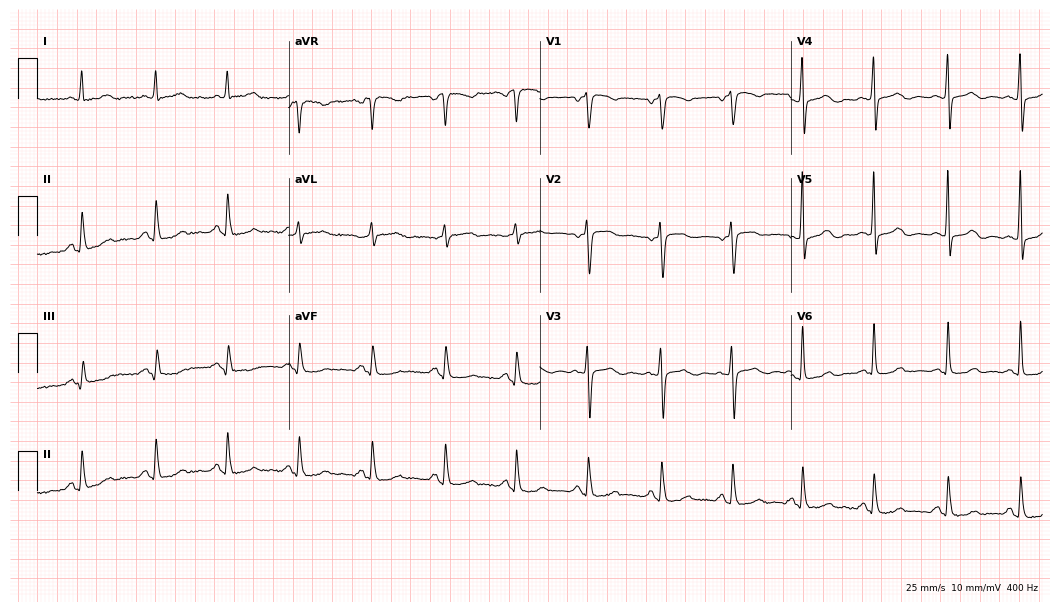
ECG — a 58-year-old female patient. Screened for six findings — first-degree AV block, right bundle branch block, left bundle branch block, sinus bradycardia, atrial fibrillation, sinus tachycardia — none is recorded. Findings outside these six are not listed.